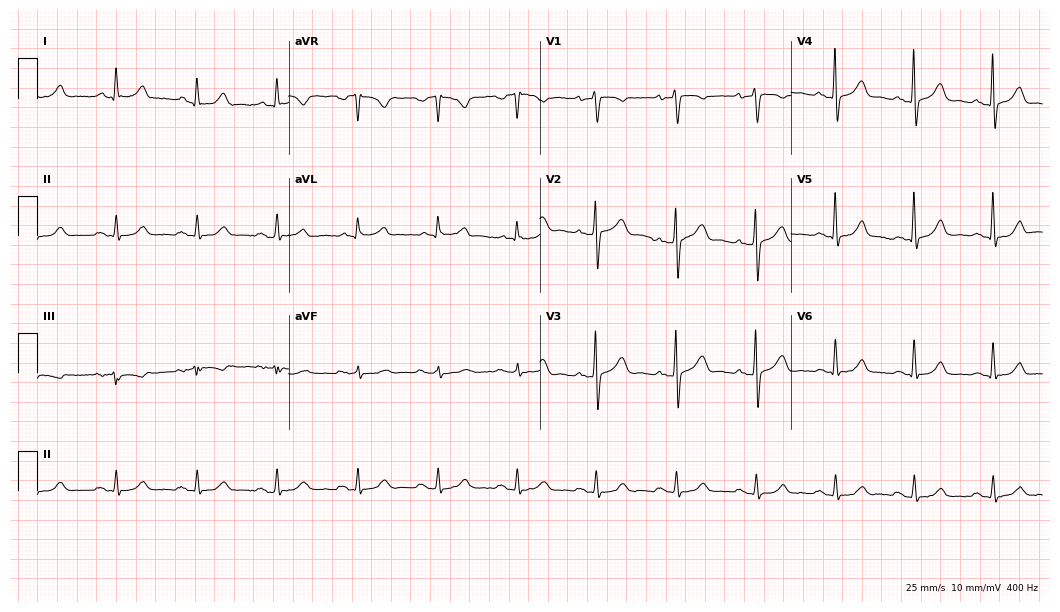
Standard 12-lead ECG recorded from a man, 71 years old. Read as a normal ECG.